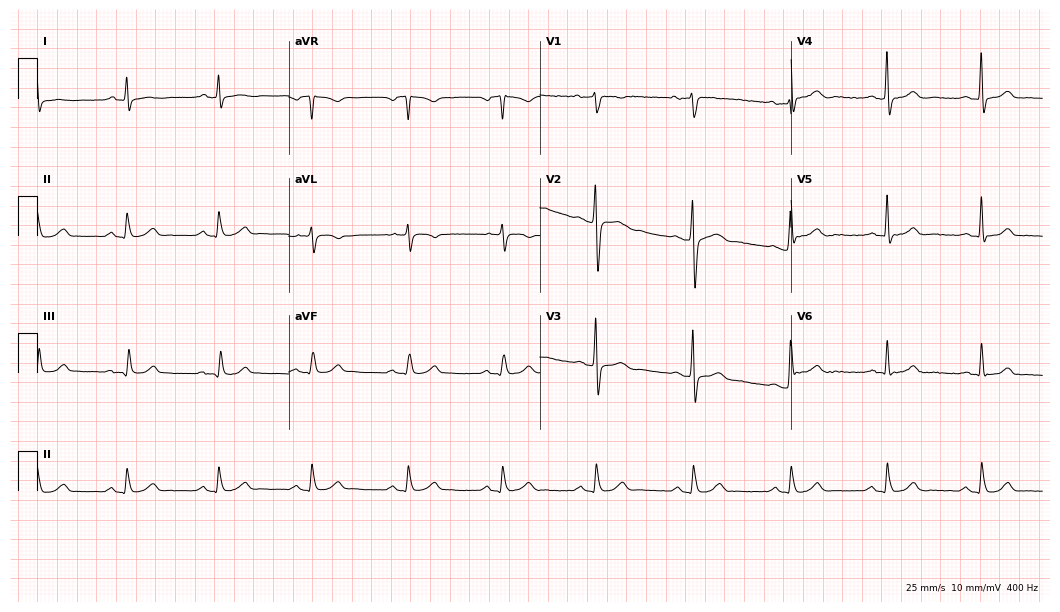
ECG — a male patient, 47 years old. Screened for six findings — first-degree AV block, right bundle branch block, left bundle branch block, sinus bradycardia, atrial fibrillation, sinus tachycardia — none is recorded. Findings outside these six are not listed.